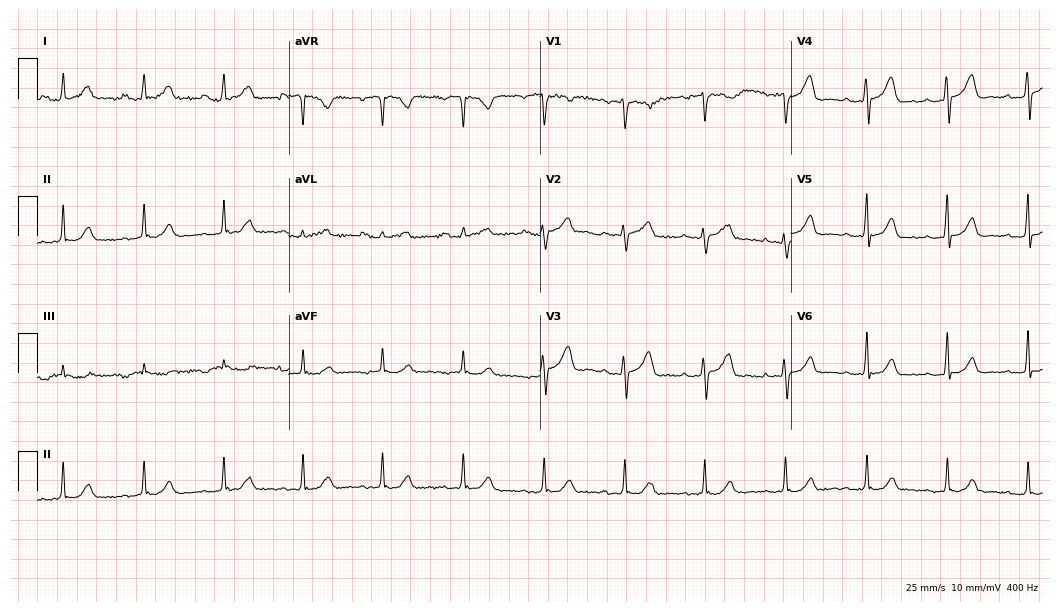
Resting 12-lead electrocardiogram (10.2-second recording at 400 Hz). Patient: a 49-year-old female. Read as a normal ECG.